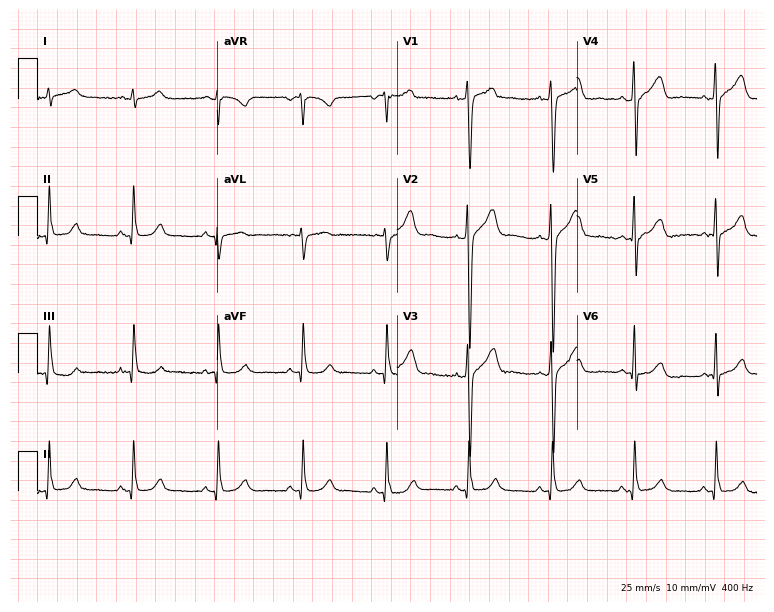
Standard 12-lead ECG recorded from a 40-year-old man (7.3-second recording at 400 Hz). None of these six findings is recorded: first-degree AV block, right bundle branch block (RBBB), left bundle branch block (LBBB), sinus bradycardia, atrial fibrillation (AF), sinus tachycardia.